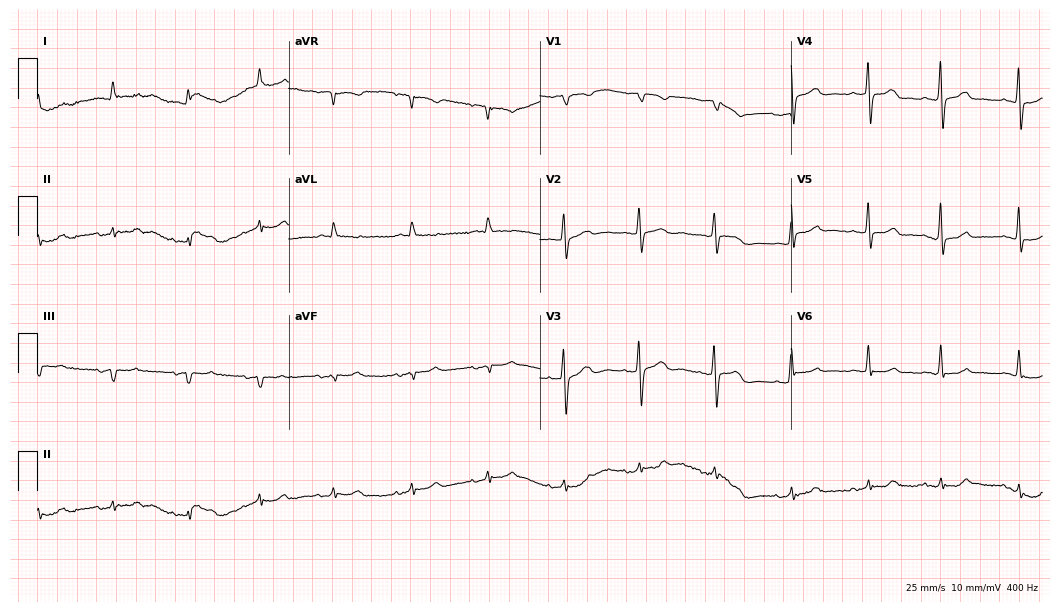
Electrocardiogram, a male, 84 years old. Overall reading on record: normal ECG.